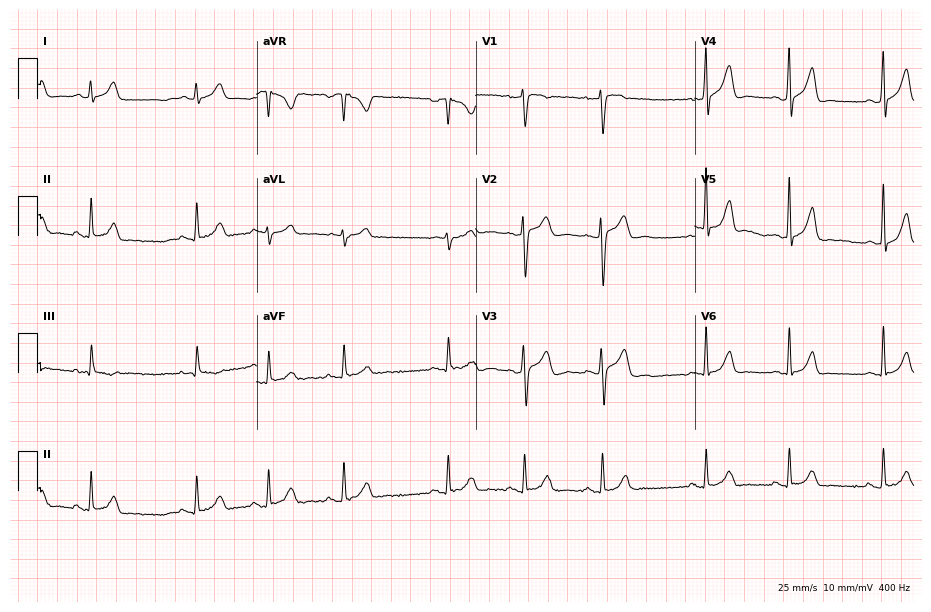
Standard 12-lead ECG recorded from a male patient, 20 years old (8.9-second recording at 400 Hz). Read as a normal ECG.